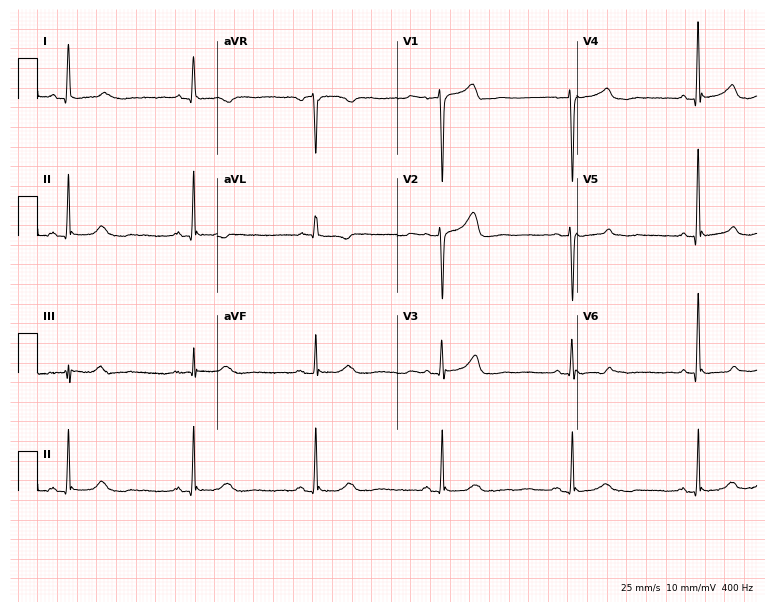
Electrocardiogram (7.3-second recording at 400 Hz), a 48-year-old male patient. Of the six screened findings (first-degree AV block, right bundle branch block, left bundle branch block, sinus bradycardia, atrial fibrillation, sinus tachycardia), none is recorded.